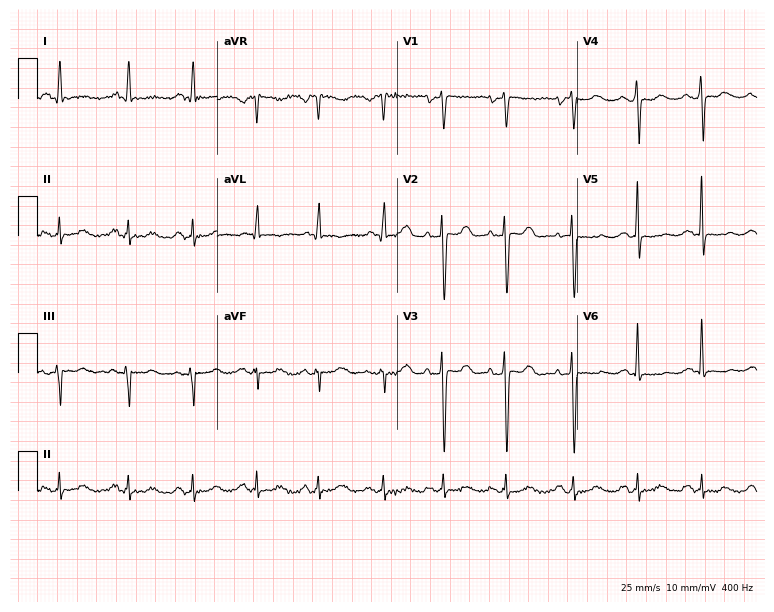
Standard 12-lead ECG recorded from a 60-year-old female patient. None of these six findings is recorded: first-degree AV block, right bundle branch block, left bundle branch block, sinus bradycardia, atrial fibrillation, sinus tachycardia.